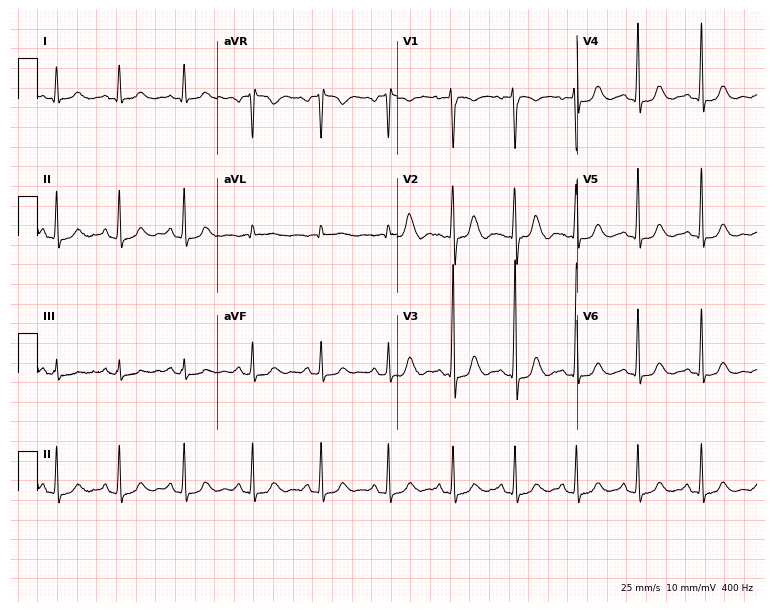
ECG (7.3-second recording at 400 Hz) — a 33-year-old female. Screened for six findings — first-degree AV block, right bundle branch block, left bundle branch block, sinus bradycardia, atrial fibrillation, sinus tachycardia — none is recorded.